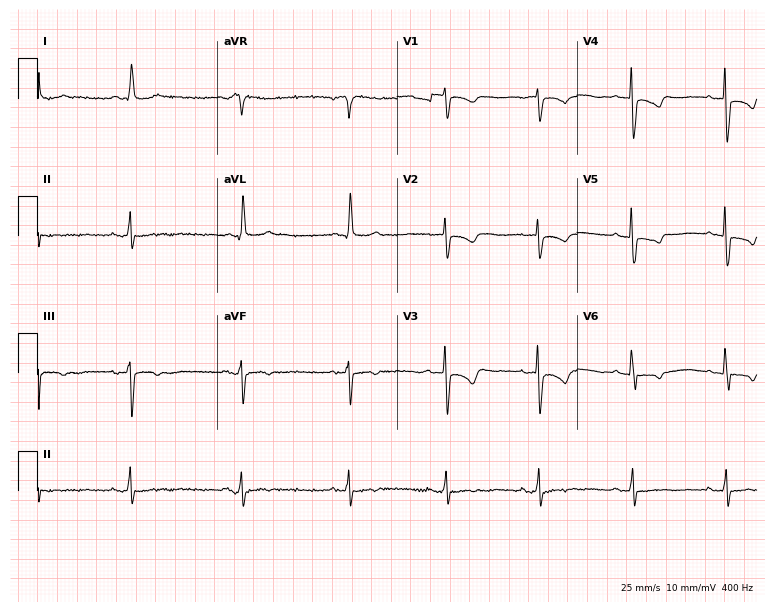
Electrocardiogram, a female, 67 years old. Of the six screened findings (first-degree AV block, right bundle branch block (RBBB), left bundle branch block (LBBB), sinus bradycardia, atrial fibrillation (AF), sinus tachycardia), none is recorded. Only these six findings were labelled.